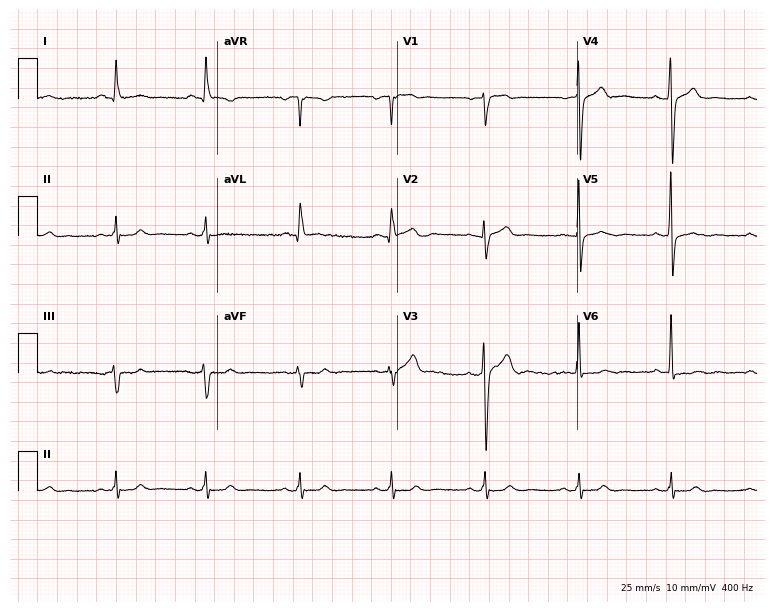
12-lead ECG from an 84-year-old man. Labelled as a normal ECG.